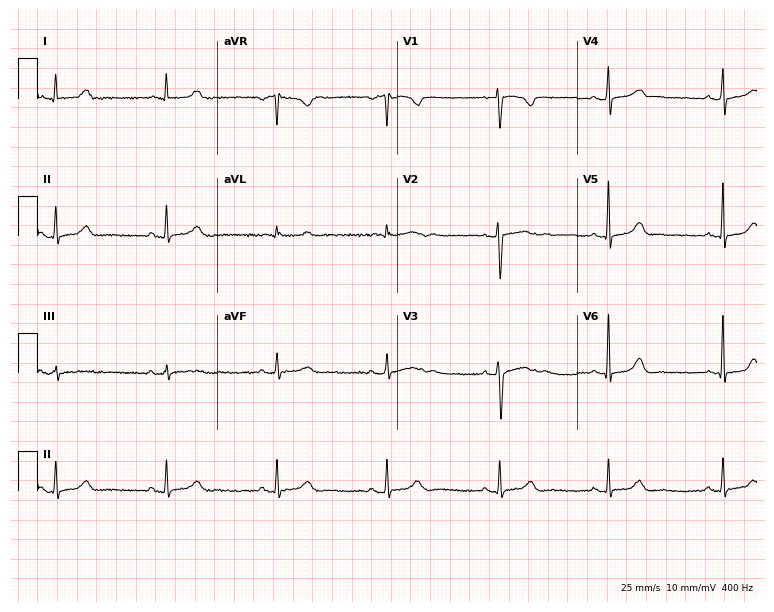
ECG — a female, 46 years old. Labelled as a normal ECG.